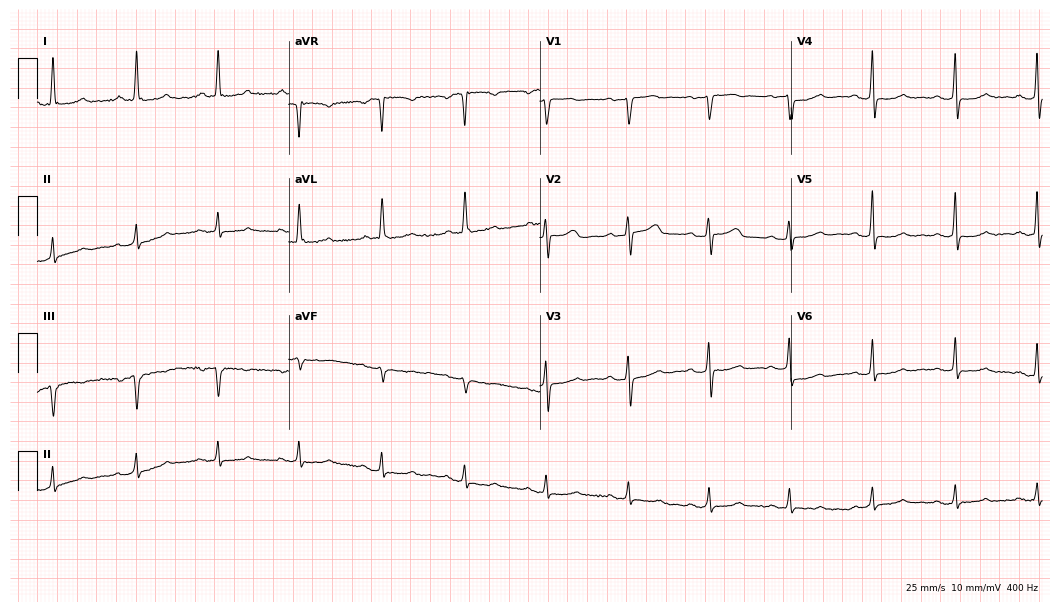
12-lead ECG from a female patient, 72 years old. No first-degree AV block, right bundle branch block, left bundle branch block, sinus bradycardia, atrial fibrillation or sinus tachycardia recorded for this tracing.